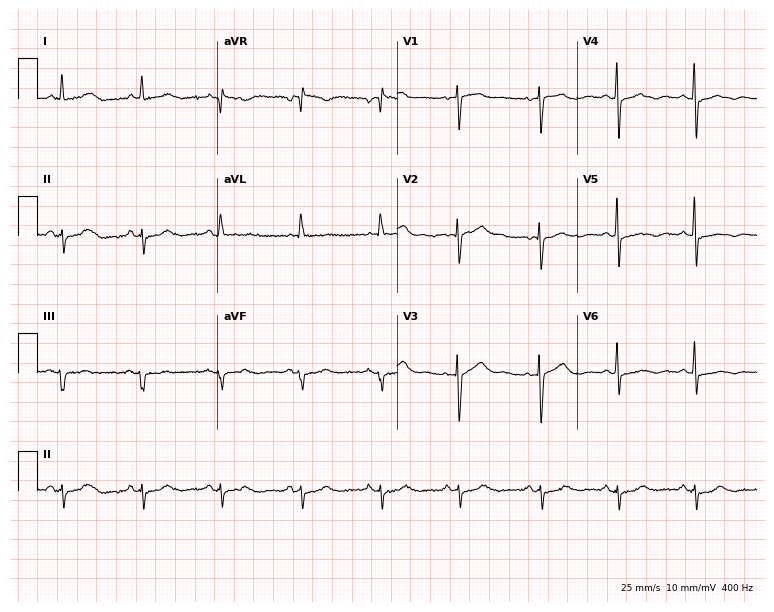
12-lead ECG from a female patient, 74 years old. No first-degree AV block, right bundle branch block, left bundle branch block, sinus bradycardia, atrial fibrillation or sinus tachycardia recorded for this tracing.